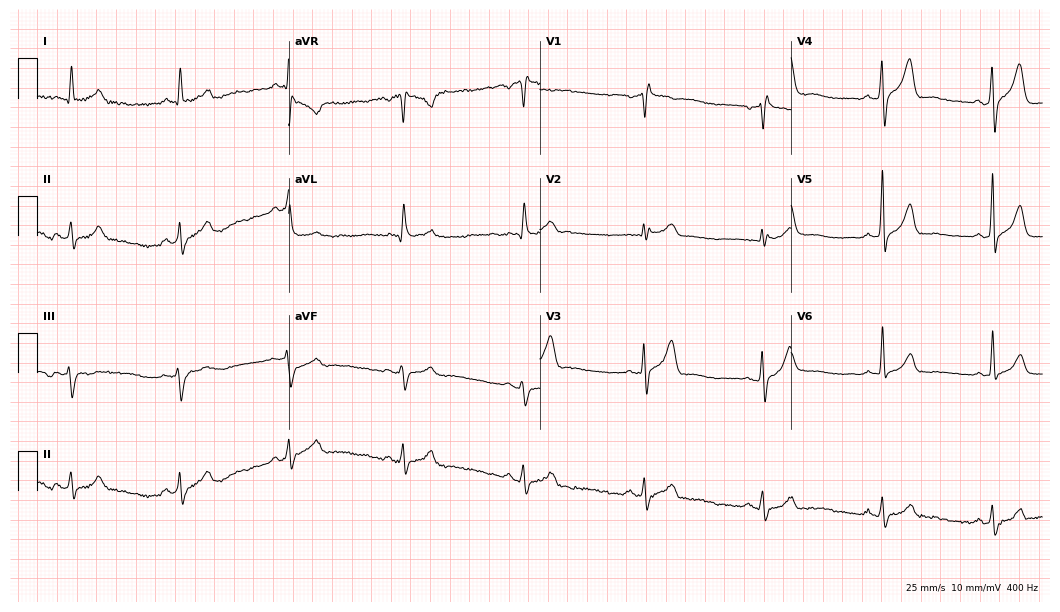
Standard 12-lead ECG recorded from a male patient, 60 years old. None of these six findings is recorded: first-degree AV block, right bundle branch block, left bundle branch block, sinus bradycardia, atrial fibrillation, sinus tachycardia.